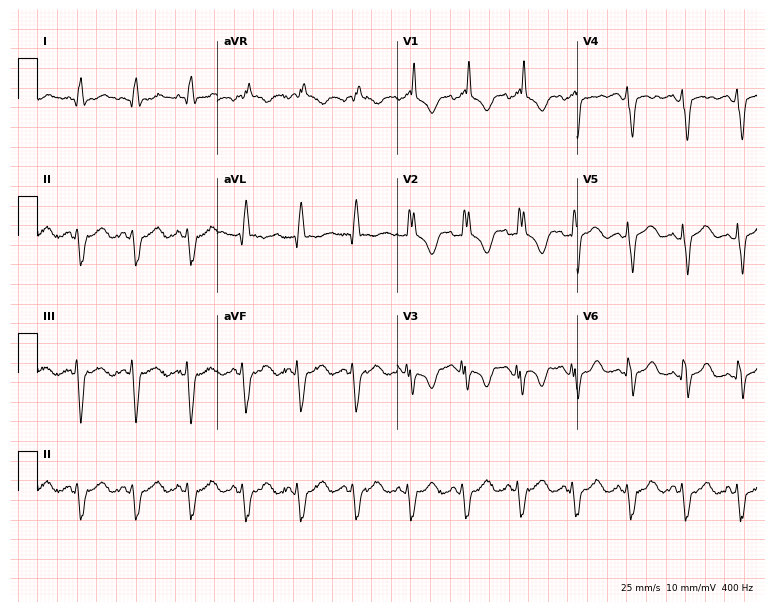
Electrocardiogram (7.3-second recording at 400 Hz), a male patient, 42 years old. Interpretation includes right bundle branch block (RBBB), sinus tachycardia (a sinus rate of 100 beats per minute or more).